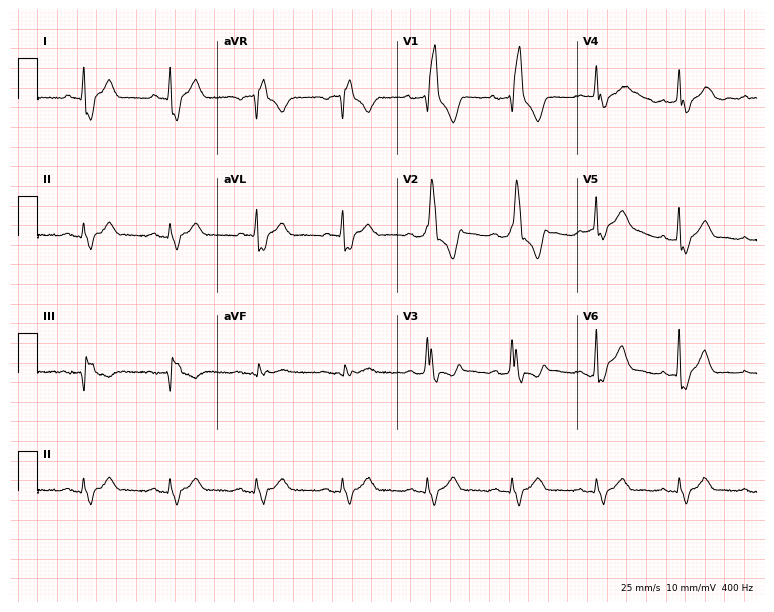
Electrocardiogram, a 63-year-old male patient. Interpretation includes right bundle branch block.